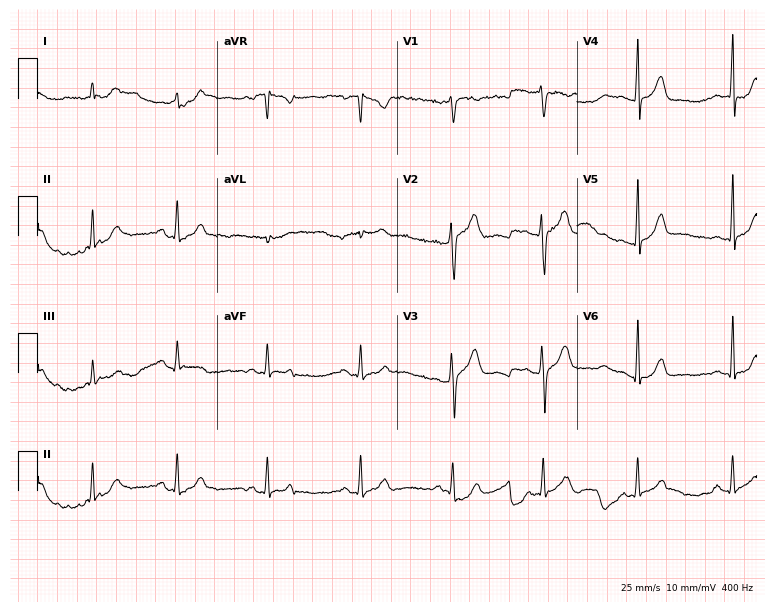
ECG — a 31-year-old man. Labelled as a normal ECG.